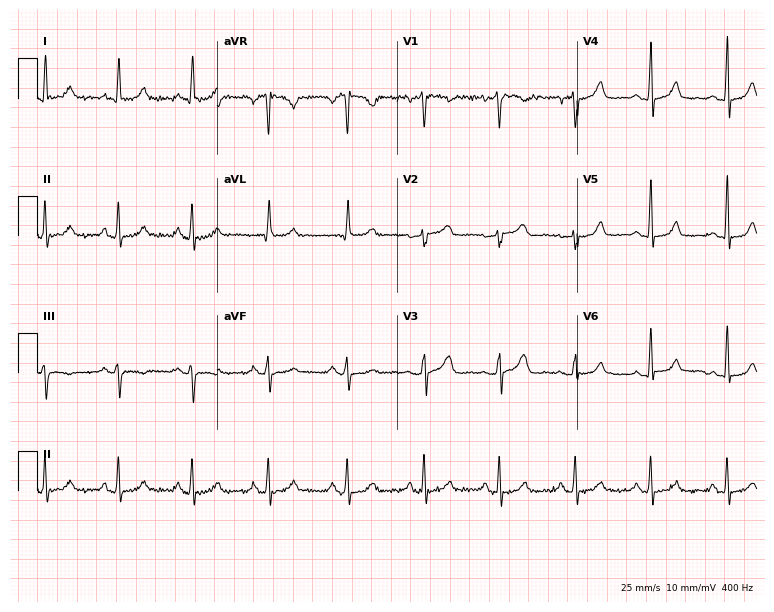
Standard 12-lead ECG recorded from a female, 50 years old. None of these six findings is recorded: first-degree AV block, right bundle branch block, left bundle branch block, sinus bradycardia, atrial fibrillation, sinus tachycardia.